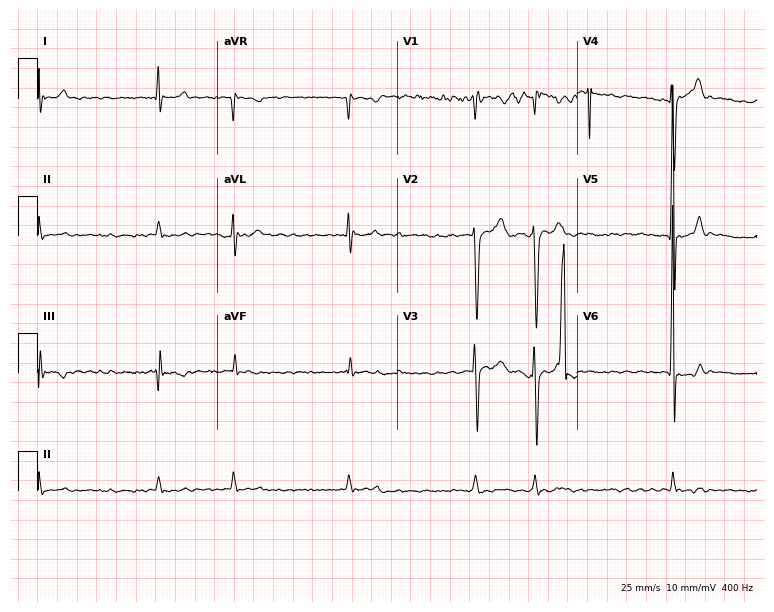
ECG (7.3-second recording at 400 Hz) — a male, 27 years old. Findings include atrial fibrillation.